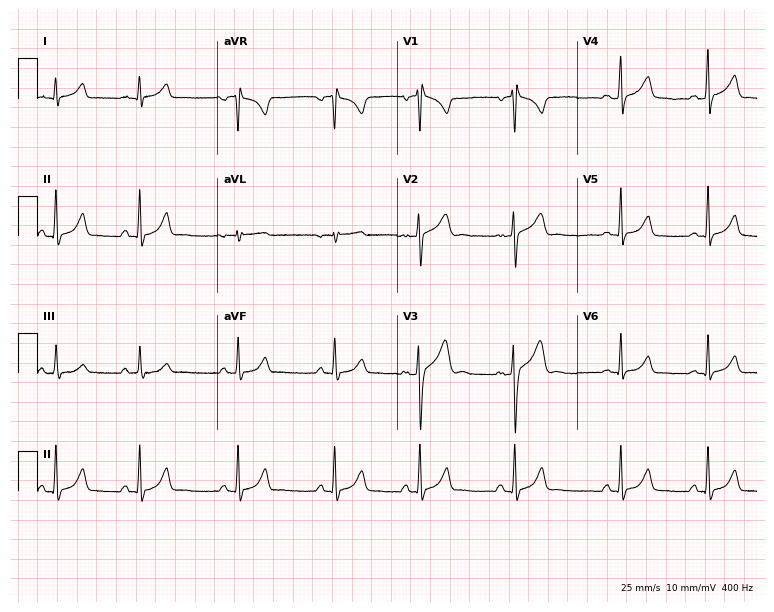
Standard 12-lead ECG recorded from a 23-year-old man (7.3-second recording at 400 Hz). None of these six findings is recorded: first-degree AV block, right bundle branch block, left bundle branch block, sinus bradycardia, atrial fibrillation, sinus tachycardia.